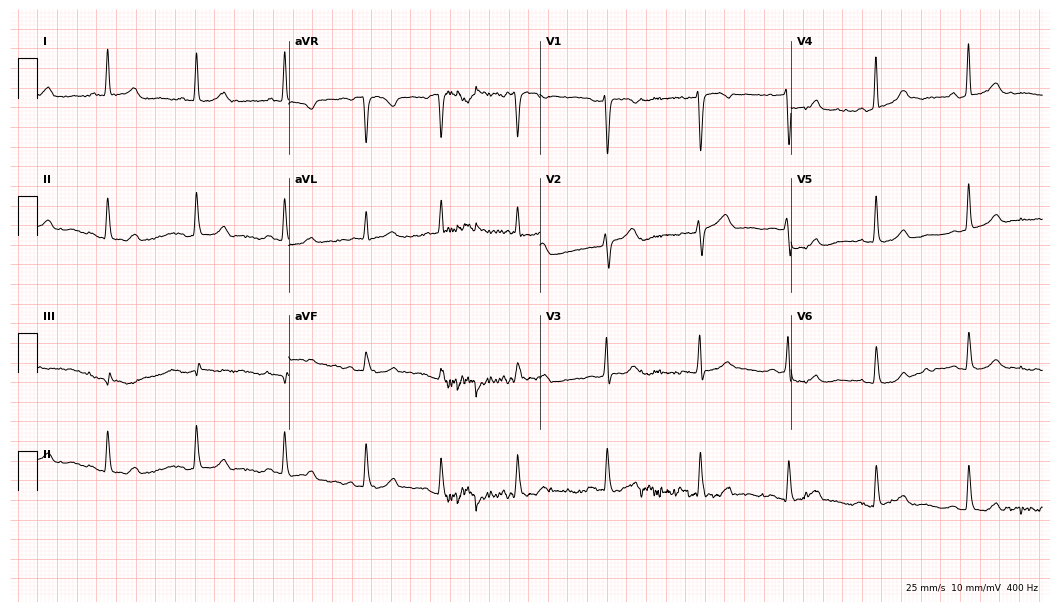
Electrocardiogram, a female, 52 years old. Overall reading on record: normal ECG.